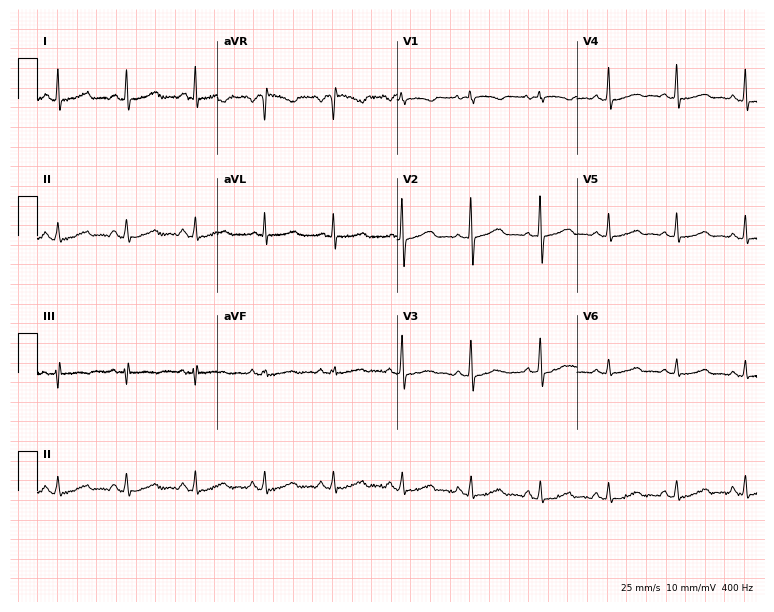
12-lead ECG from a 56-year-old female. Screened for six findings — first-degree AV block, right bundle branch block, left bundle branch block, sinus bradycardia, atrial fibrillation, sinus tachycardia — none is recorded. Other findings, if any, are not listed.